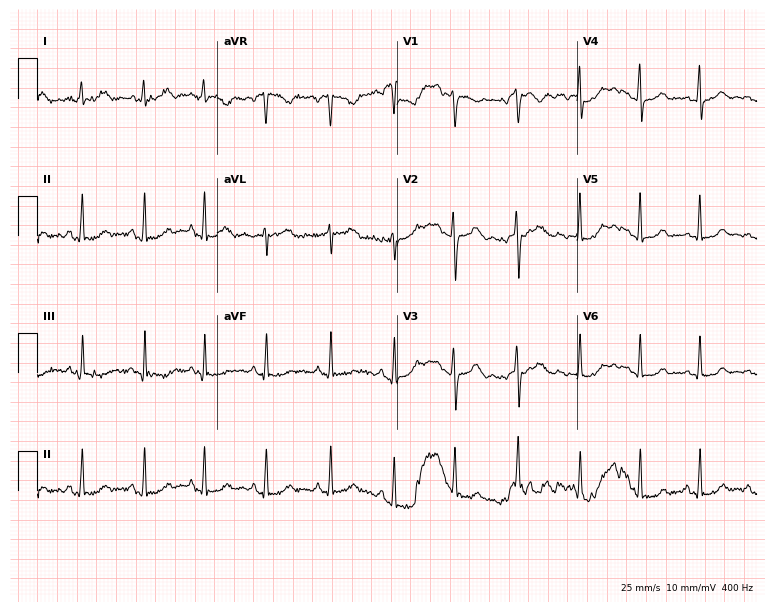
Standard 12-lead ECG recorded from a female patient, 21 years old (7.3-second recording at 400 Hz). Read as a normal ECG.